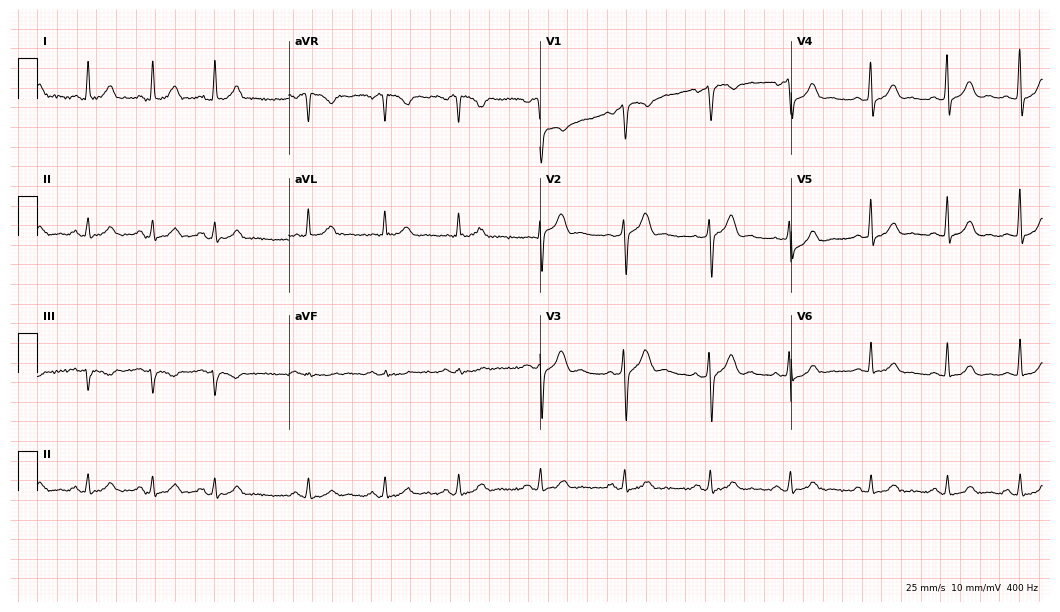
12-lead ECG from a 59-year-old male patient. No first-degree AV block, right bundle branch block (RBBB), left bundle branch block (LBBB), sinus bradycardia, atrial fibrillation (AF) or sinus tachycardia recorded for this tracing. Other findings, if any, are not listed.